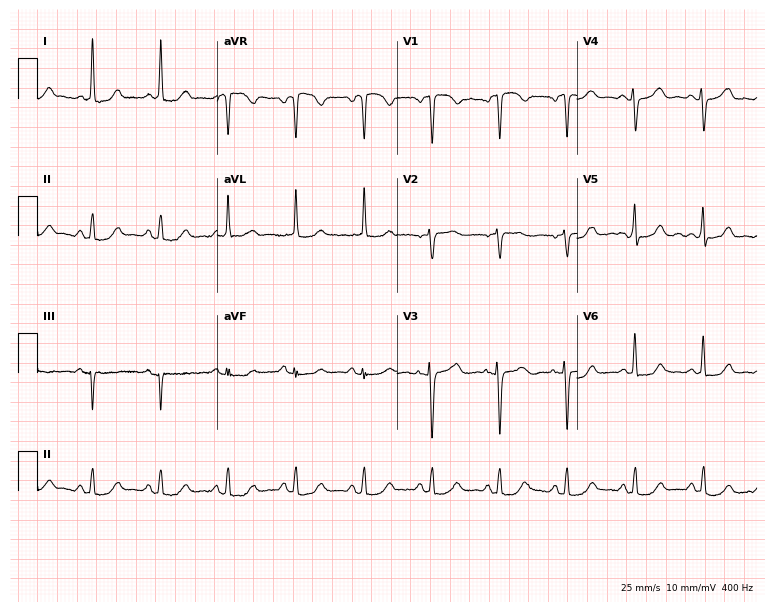
Electrocardiogram (7.3-second recording at 400 Hz), a 67-year-old male patient. Overall reading on record: normal ECG.